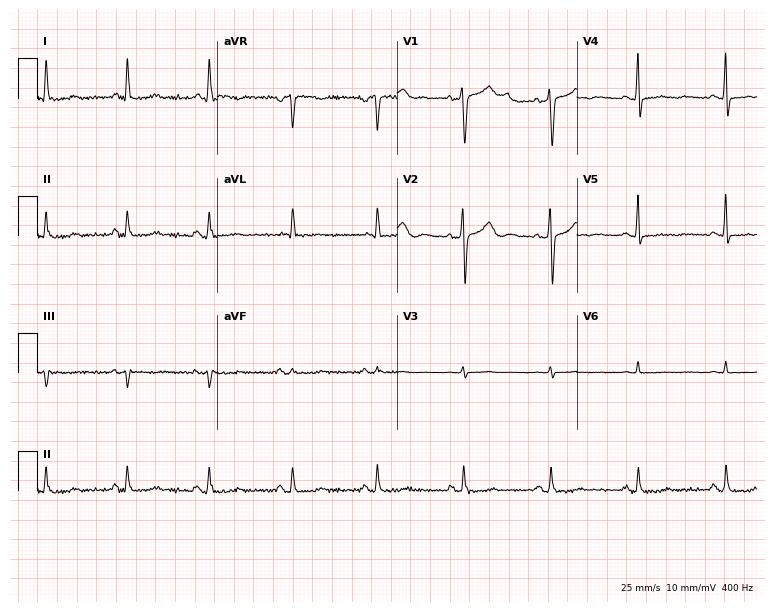
Electrocardiogram, a 59-year-old female patient. Of the six screened findings (first-degree AV block, right bundle branch block, left bundle branch block, sinus bradycardia, atrial fibrillation, sinus tachycardia), none is recorded. Findings outside these six are not listed.